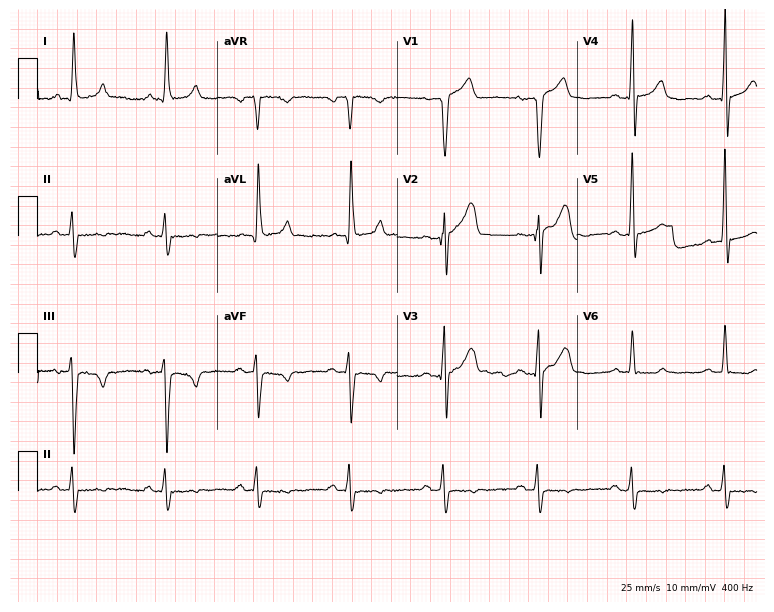
12-lead ECG from a 71-year-old male patient. Screened for six findings — first-degree AV block, right bundle branch block (RBBB), left bundle branch block (LBBB), sinus bradycardia, atrial fibrillation (AF), sinus tachycardia — none is recorded. Other findings, if any, are not listed.